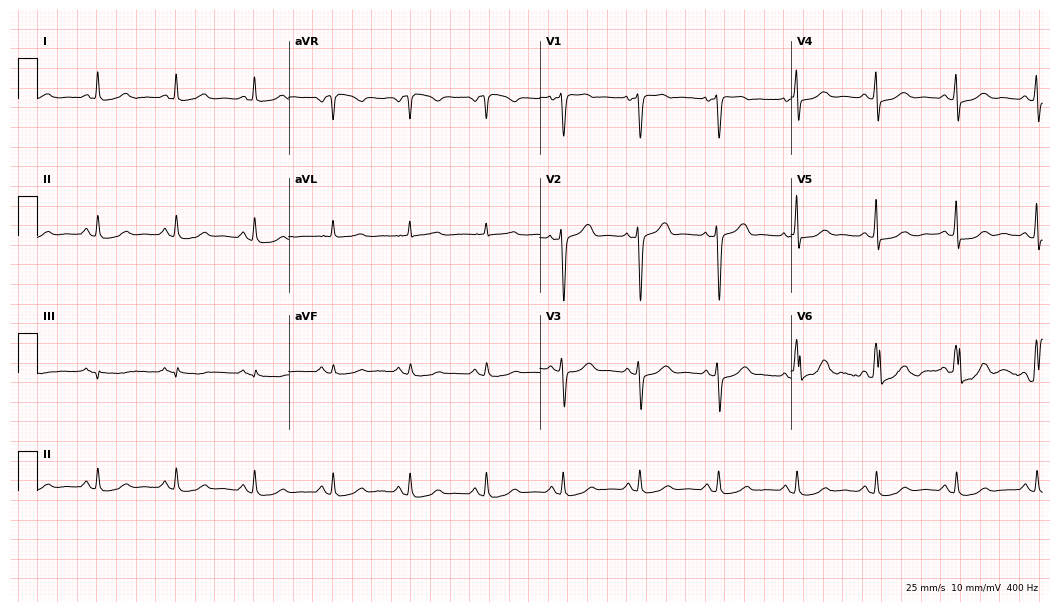
ECG (10.2-second recording at 400 Hz) — a 55-year-old female. Labelled as a normal ECG.